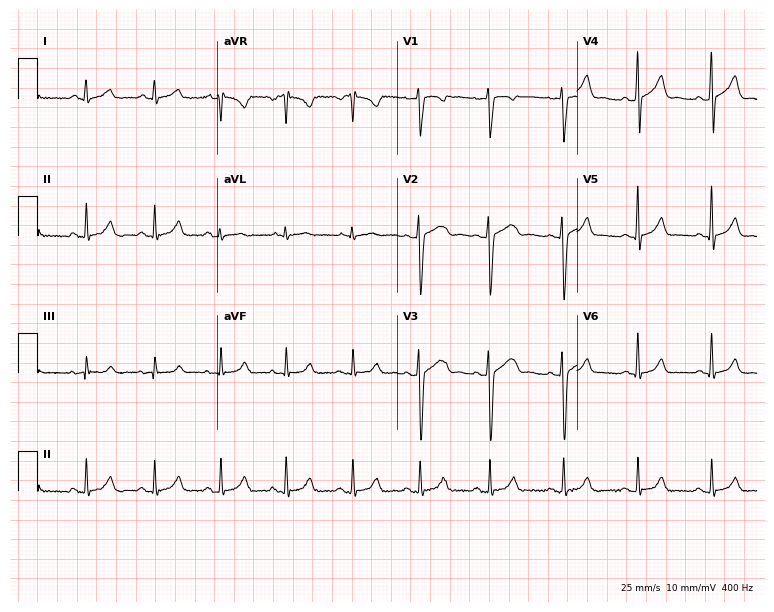
ECG (7.3-second recording at 400 Hz) — a 37-year-old woman. Labelled as a normal ECG.